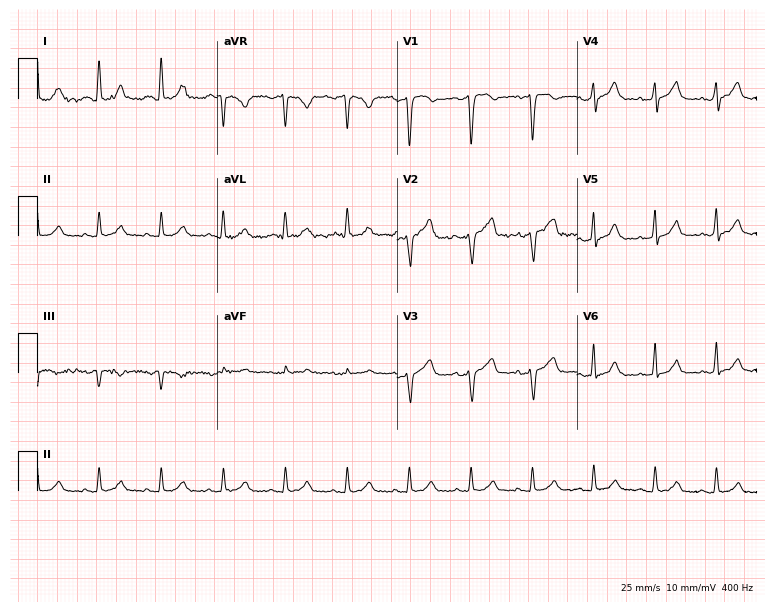
Electrocardiogram, a 59-year-old woman. Of the six screened findings (first-degree AV block, right bundle branch block, left bundle branch block, sinus bradycardia, atrial fibrillation, sinus tachycardia), none is recorded. Findings outside these six are not listed.